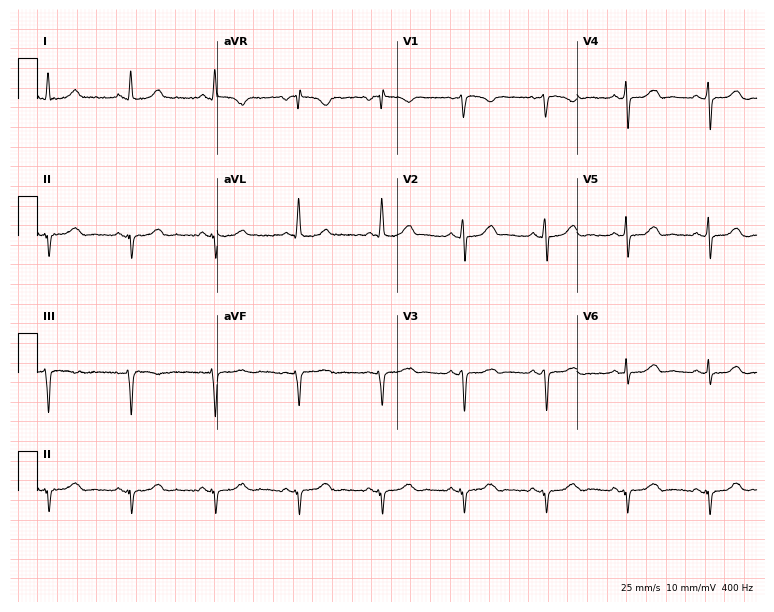
Standard 12-lead ECG recorded from a female patient, 61 years old (7.3-second recording at 400 Hz). None of these six findings is recorded: first-degree AV block, right bundle branch block, left bundle branch block, sinus bradycardia, atrial fibrillation, sinus tachycardia.